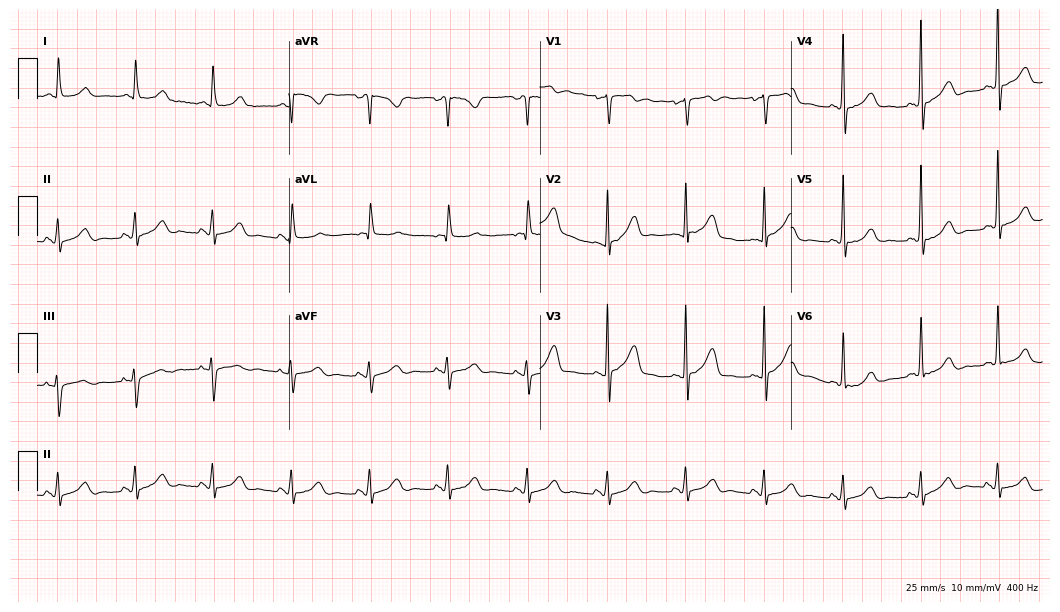
Resting 12-lead electrocardiogram. Patient: a woman, 61 years old. None of these six findings is recorded: first-degree AV block, right bundle branch block, left bundle branch block, sinus bradycardia, atrial fibrillation, sinus tachycardia. Other findings, if any, are not listed.